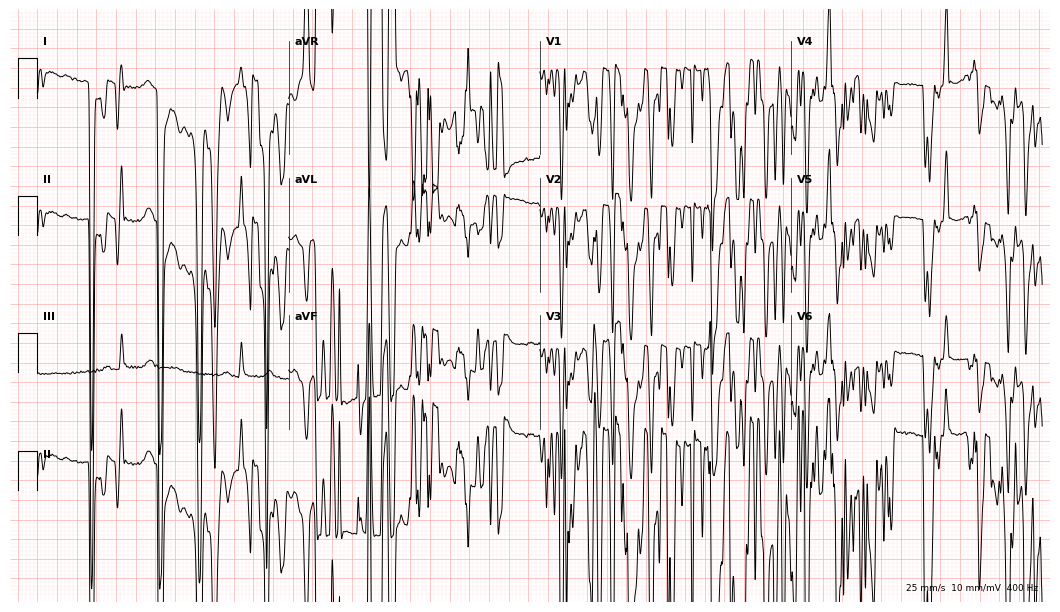
ECG — a 55-year-old male. Screened for six findings — first-degree AV block, right bundle branch block, left bundle branch block, sinus bradycardia, atrial fibrillation, sinus tachycardia — none is recorded. Only these six findings were labelled.